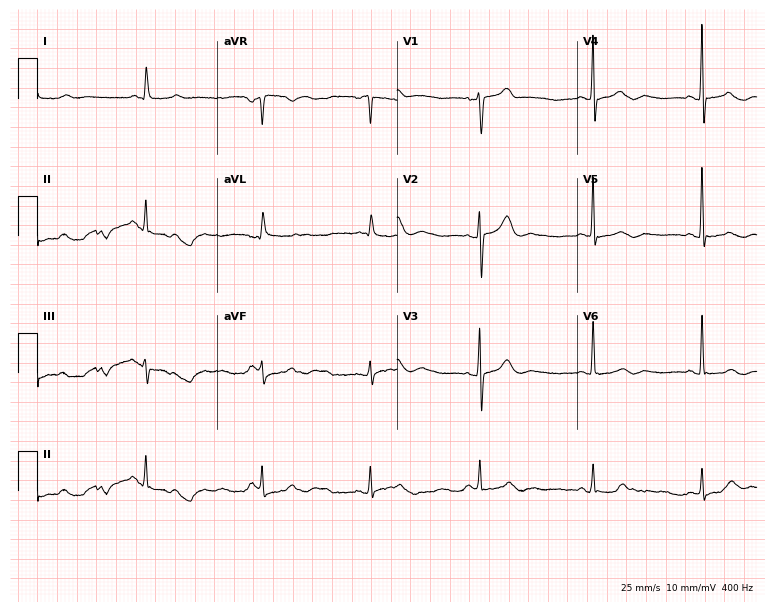
Electrocardiogram (7.3-second recording at 400 Hz), a 75-year-old female. Overall reading on record: normal ECG.